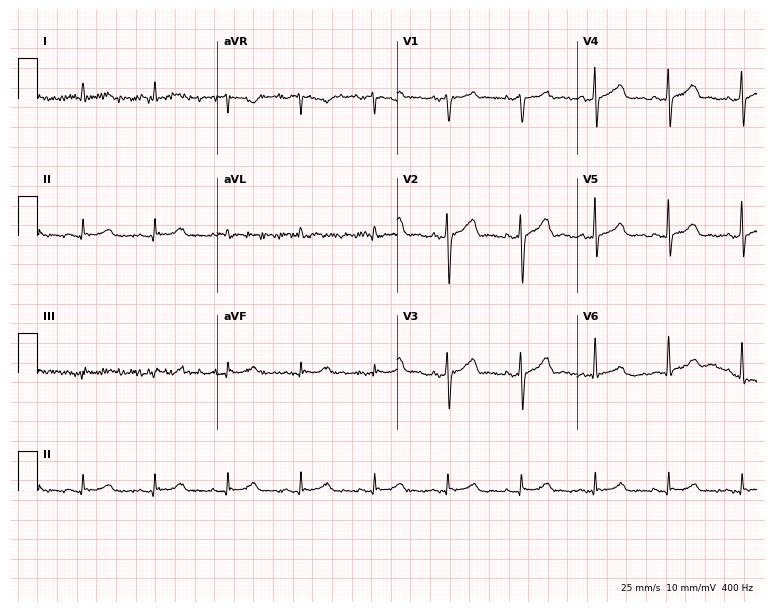
ECG — a 70-year-old male patient. Screened for six findings — first-degree AV block, right bundle branch block, left bundle branch block, sinus bradycardia, atrial fibrillation, sinus tachycardia — none is recorded. Only these six findings were labelled.